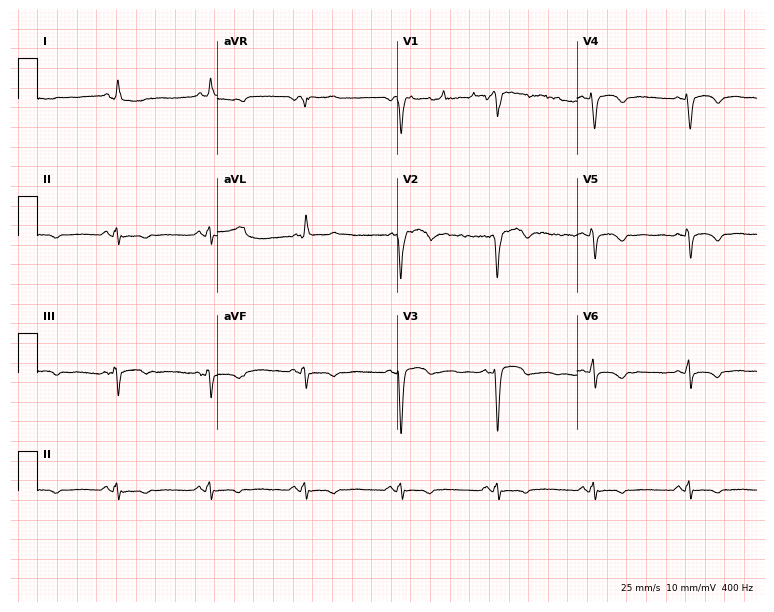
Resting 12-lead electrocardiogram (7.3-second recording at 400 Hz). Patient: a male, 60 years old. None of these six findings is recorded: first-degree AV block, right bundle branch block (RBBB), left bundle branch block (LBBB), sinus bradycardia, atrial fibrillation (AF), sinus tachycardia.